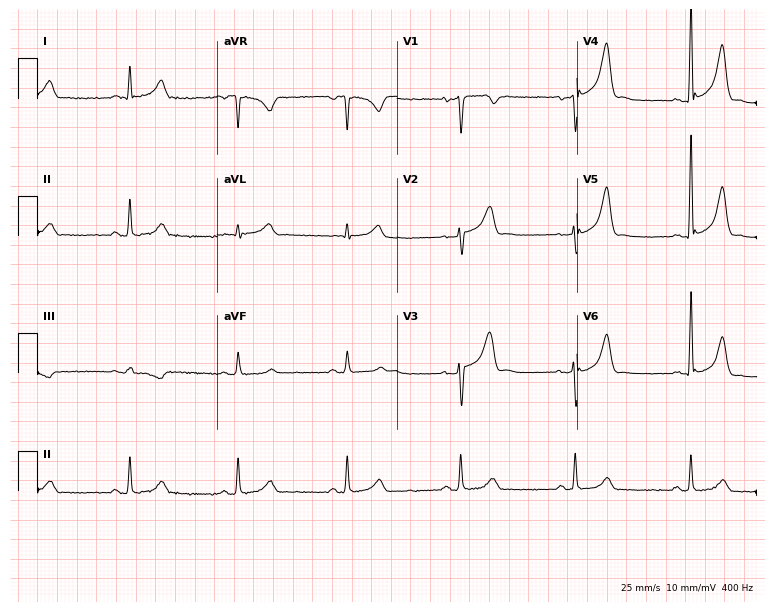
Resting 12-lead electrocardiogram. Patient: a 52-year-old male. None of these six findings is recorded: first-degree AV block, right bundle branch block, left bundle branch block, sinus bradycardia, atrial fibrillation, sinus tachycardia.